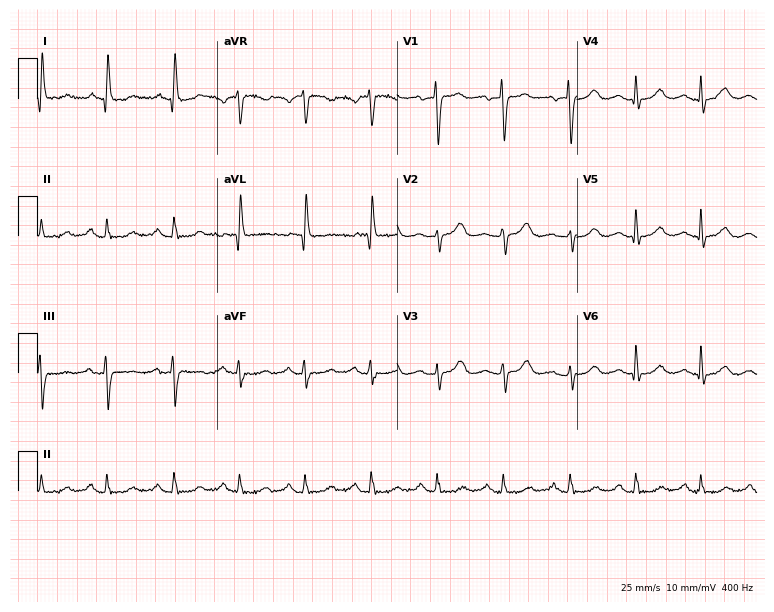
12-lead ECG from a female patient, 77 years old (7.3-second recording at 400 Hz). No first-degree AV block, right bundle branch block (RBBB), left bundle branch block (LBBB), sinus bradycardia, atrial fibrillation (AF) or sinus tachycardia recorded for this tracing.